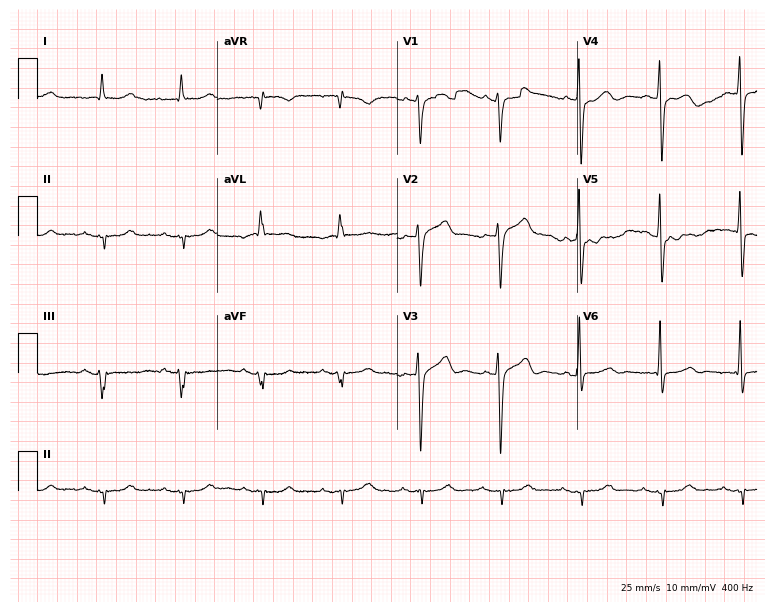
12-lead ECG from a man, 71 years old (7.3-second recording at 400 Hz). No first-degree AV block, right bundle branch block (RBBB), left bundle branch block (LBBB), sinus bradycardia, atrial fibrillation (AF) or sinus tachycardia recorded for this tracing. Other findings, if any, are not listed.